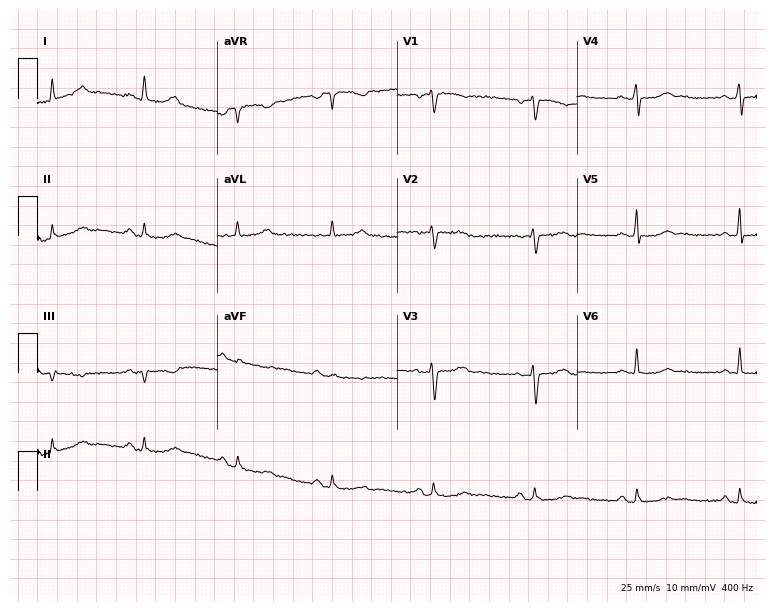
Resting 12-lead electrocardiogram. Patient: a 52-year-old woman. None of these six findings is recorded: first-degree AV block, right bundle branch block, left bundle branch block, sinus bradycardia, atrial fibrillation, sinus tachycardia.